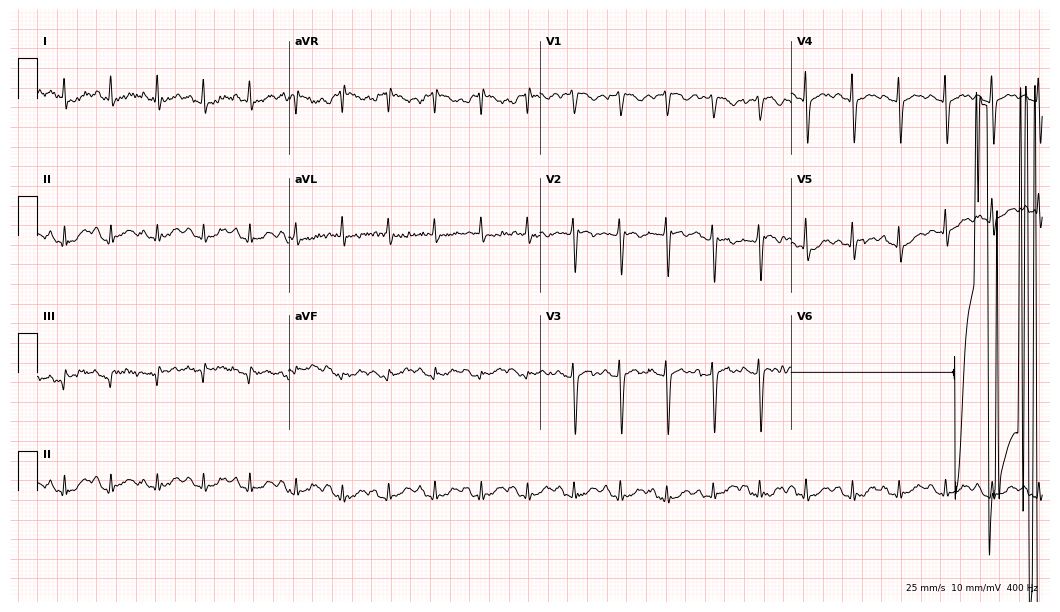
12-lead ECG from a female patient, 55 years old. Screened for six findings — first-degree AV block, right bundle branch block, left bundle branch block, sinus bradycardia, atrial fibrillation, sinus tachycardia — none is recorded. Other findings, if any, are not listed.